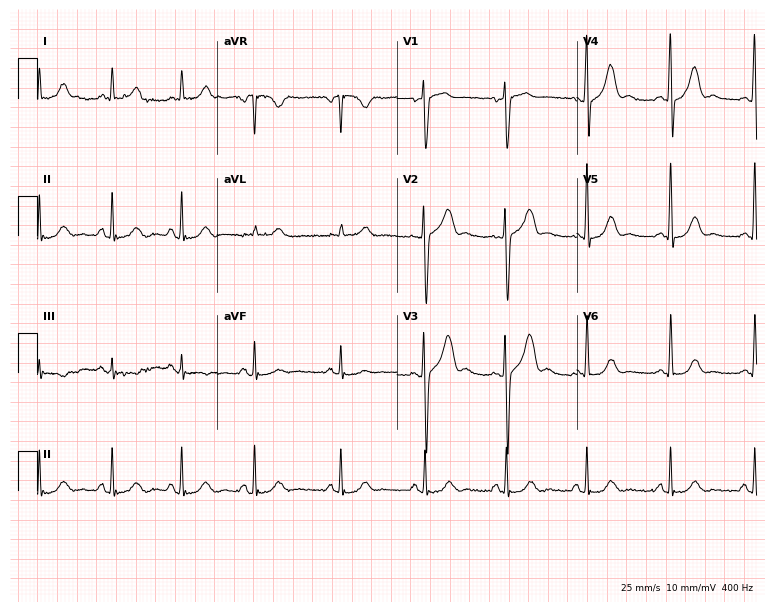
12-lead ECG (7.3-second recording at 400 Hz) from a male patient, 50 years old. Screened for six findings — first-degree AV block, right bundle branch block, left bundle branch block, sinus bradycardia, atrial fibrillation, sinus tachycardia — none is recorded.